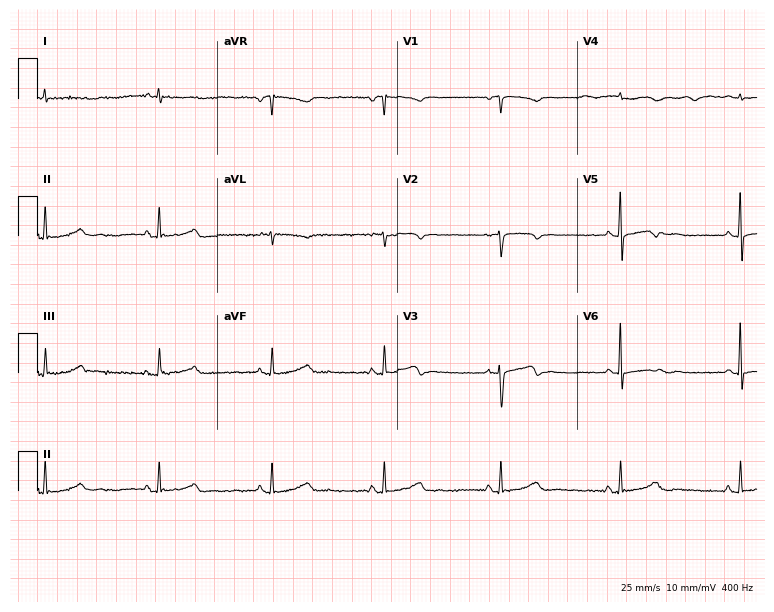
Resting 12-lead electrocardiogram. Patient: a 49-year-old woman. None of these six findings is recorded: first-degree AV block, right bundle branch block (RBBB), left bundle branch block (LBBB), sinus bradycardia, atrial fibrillation (AF), sinus tachycardia.